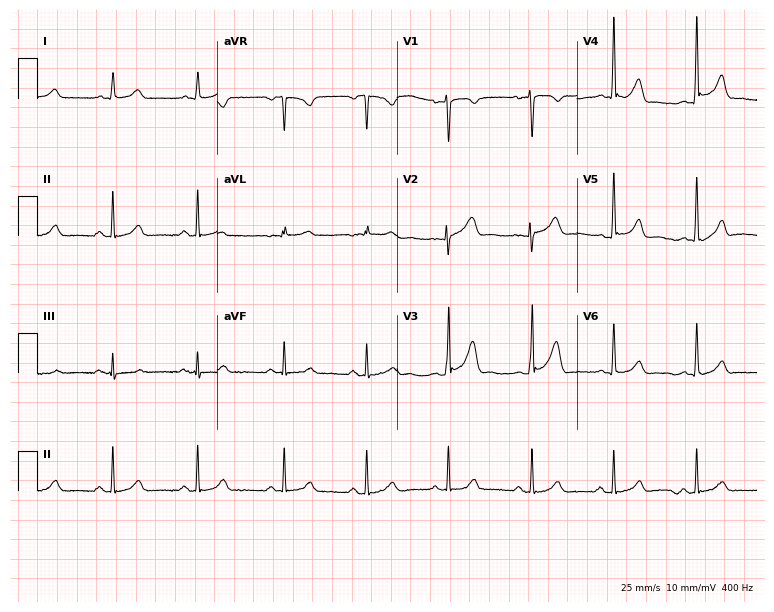
ECG — a female, 33 years old. Labelled as a normal ECG.